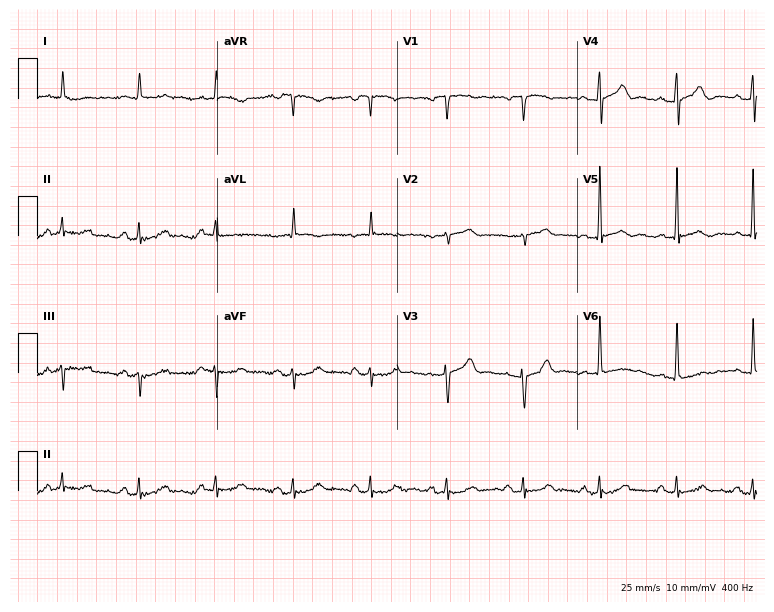
12-lead ECG from a 76-year-old male (7.3-second recording at 400 Hz). No first-degree AV block, right bundle branch block (RBBB), left bundle branch block (LBBB), sinus bradycardia, atrial fibrillation (AF) or sinus tachycardia recorded for this tracing. Findings outside these six are not listed.